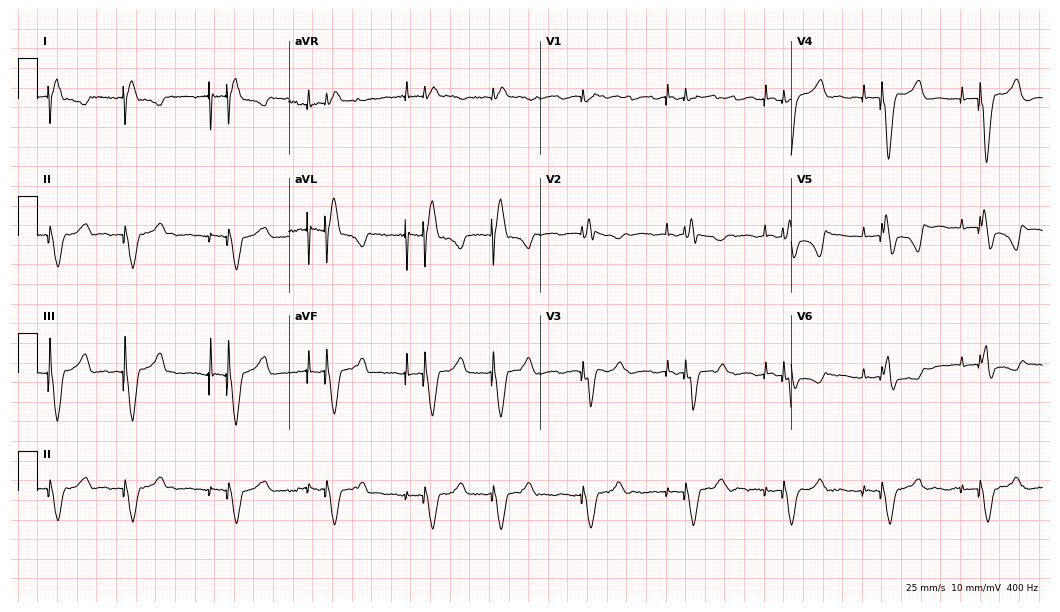
12-lead ECG from a female patient, 81 years old. No first-degree AV block, right bundle branch block, left bundle branch block, sinus bradycardia, atrial fibrillation or sinus tachycardia recorded for this tracing.